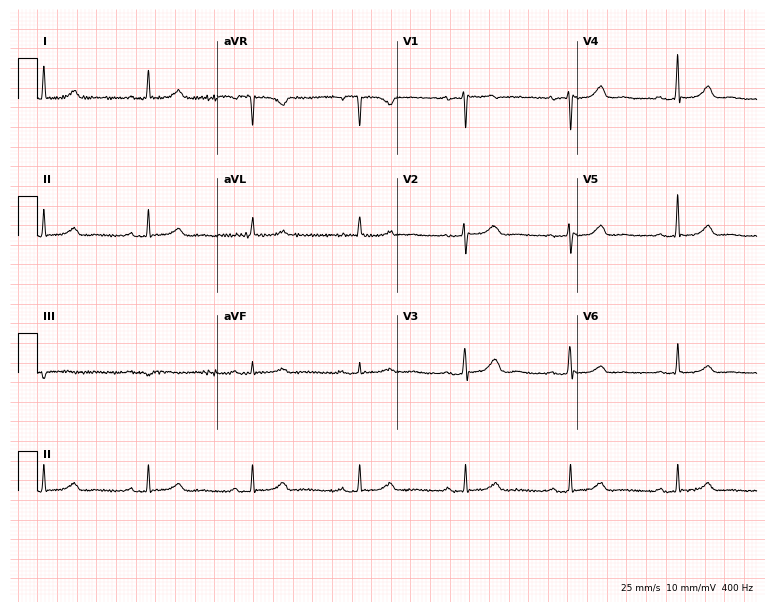
Resting 12-lead electrocardiogram (7.3-second recording at 400 Hz). Patient: a 51-year-old female. Read as a normal ECG.